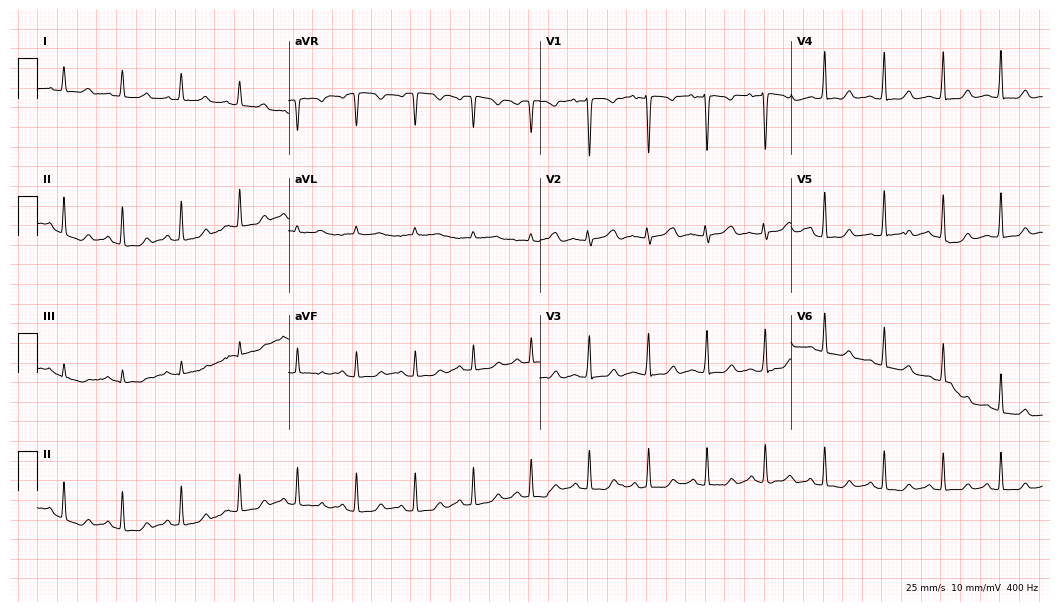
ECG — a female patient, 42 years old. Labelled as a normal ECG.